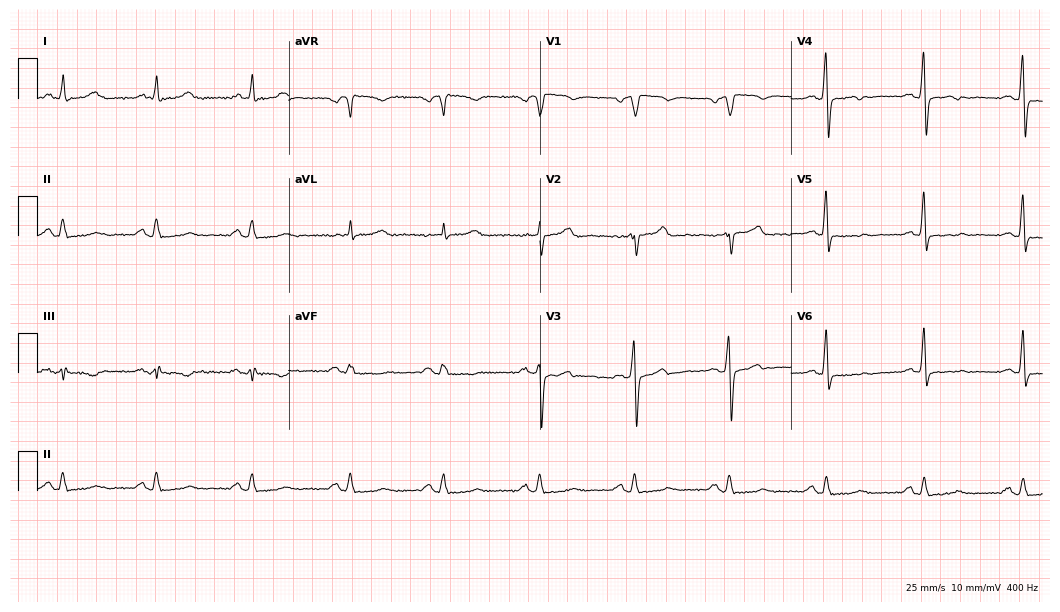
Resting 12-lead electrocardiogram (10.2-second recording at 400 Hz). Patient: a male, 51 years old. None of these six findings is recorded: first-degree AV block, right bundle branch block, left bundle branch block, sinus bradycardia, atrial fibrillation, sinus tachycardia.